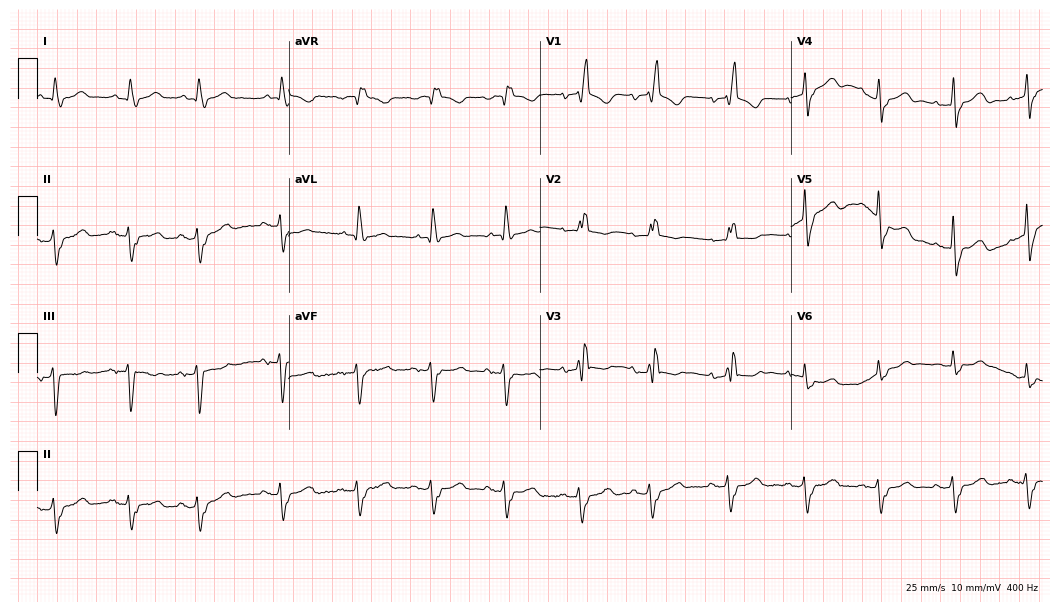
12-lead ECG (10.2-second recording at 400 Hz) from a male patient, 85 years old. Findings include right bundle branch block.